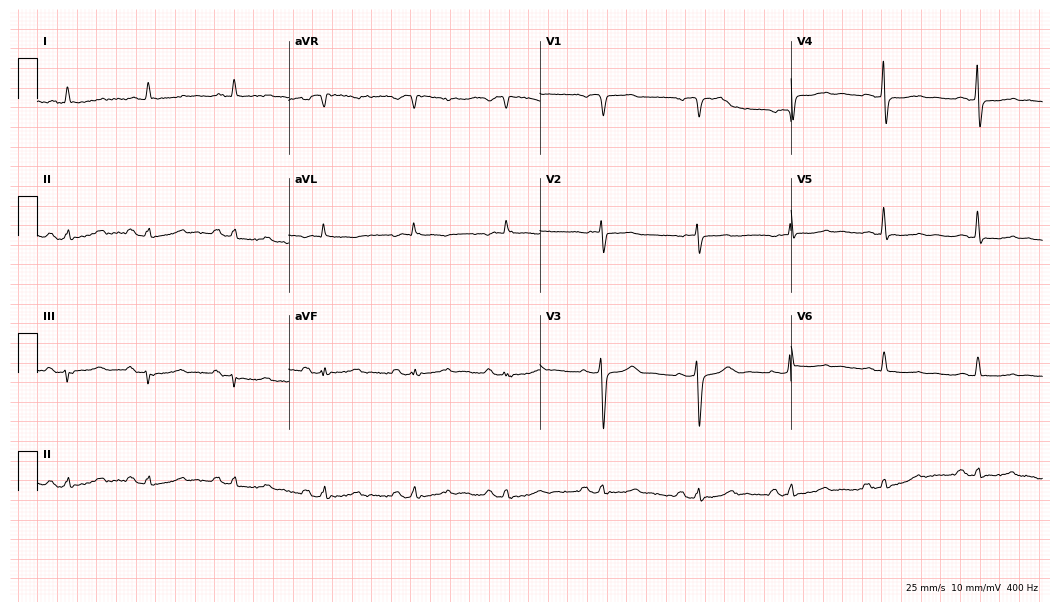
12-lead ECG from a male, 81 years old. No first-degree AV block, right bundle branch block, left bundle branch block, sinus bradycardia, atrial fibrillation or sinus tachycardia recorded for this tracing. Other findings, if any, are not listed.